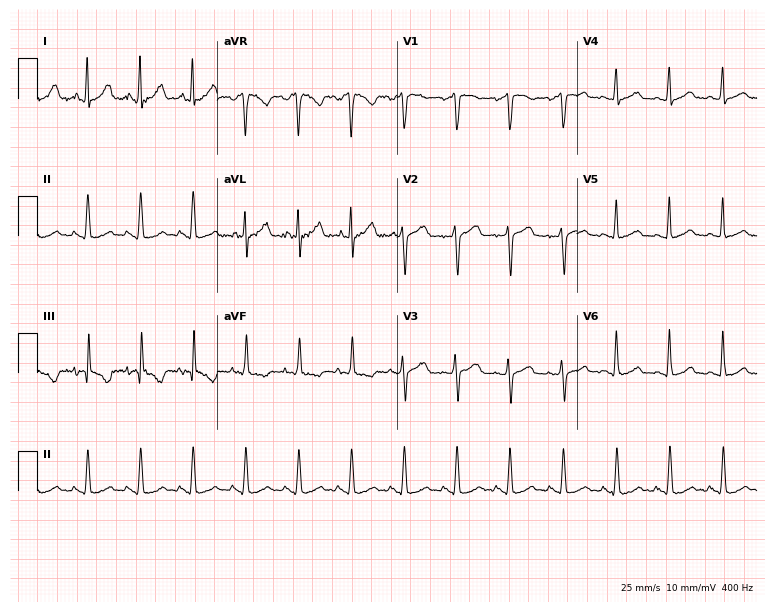
Electrocardiogram (7.3-second recording at 400 Hz), a 30-year-old female. Interpretation includes sinus tachycardia (a sinus rate of 100 beats per minute or more).